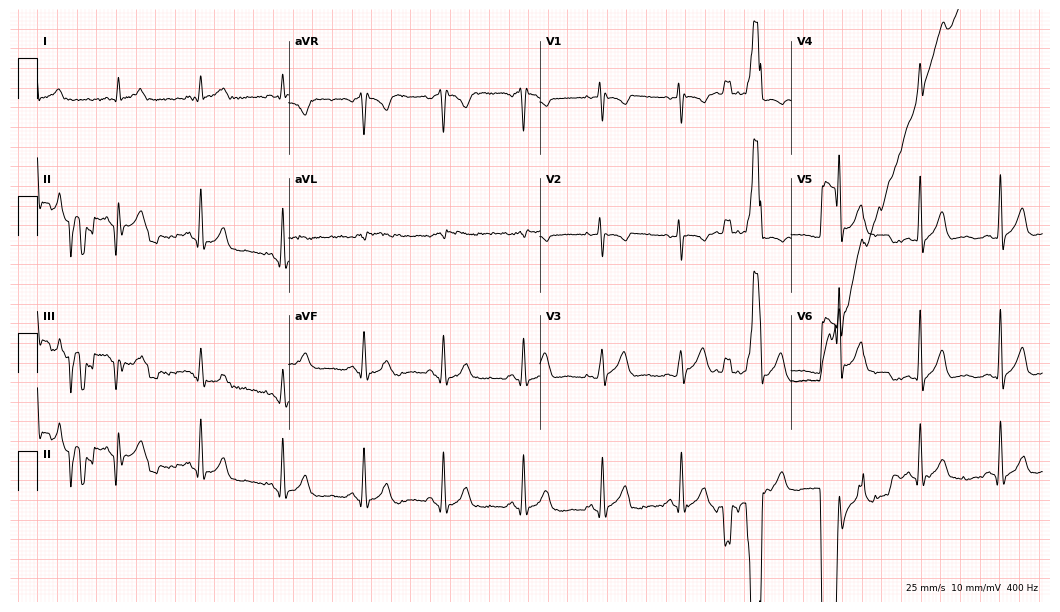
12-lead ECG from a male patient, 47 years old. Recorded interpretation: within normal limits.